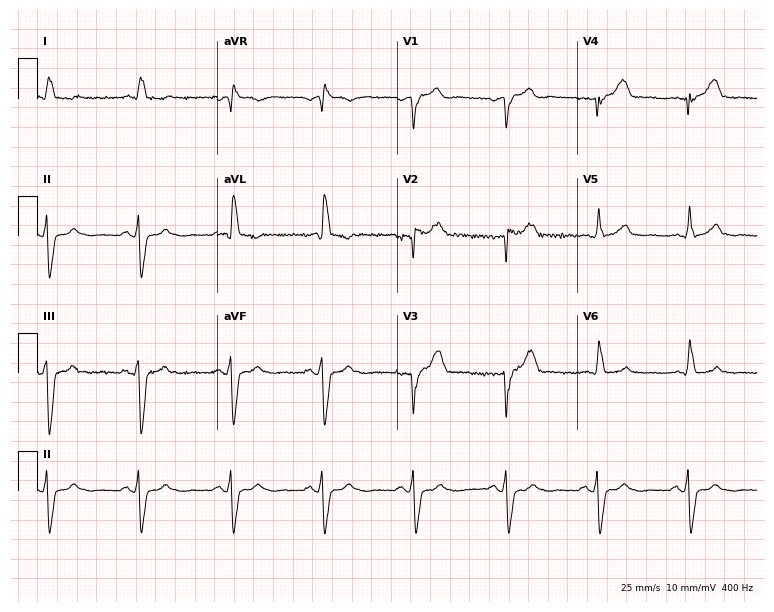
Resting 12-lead electrocardiogram. Patient: a male, 55 years old. None of these six findings is recorded: first-degree AV block, right bundle branch block, left bundle branch block, sinus bradycardia, atrial fibrillation, sinus tachycardia. Other findings, if any, are not listed.